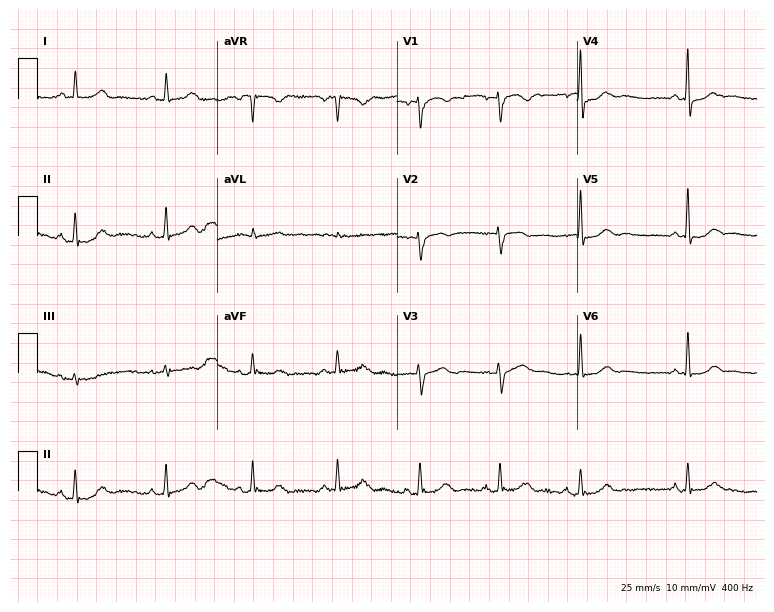
12-lead ECG from a female, 55 years old (7.3-second recording at 400 Hz). Recorded interpretation: within normal limits.